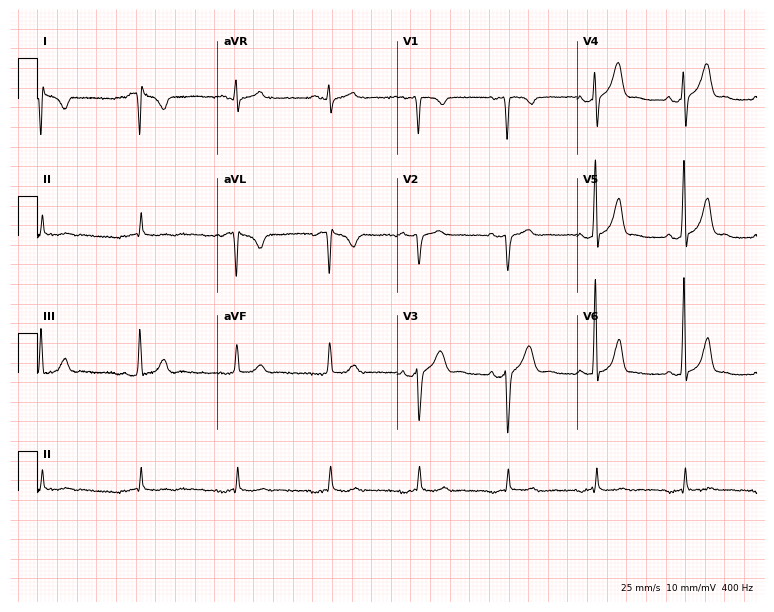
Standard 12-lead ECG recorded from a male, 35 years old (7.3-second recording at 400 Hz). None of these six findings is recorded: first-degree AV block, right bundle branch block (RBBB), left bundle branch block (LBBB), sinus bradycardia, atrial fibrillation (AF), sinus tachycardia.